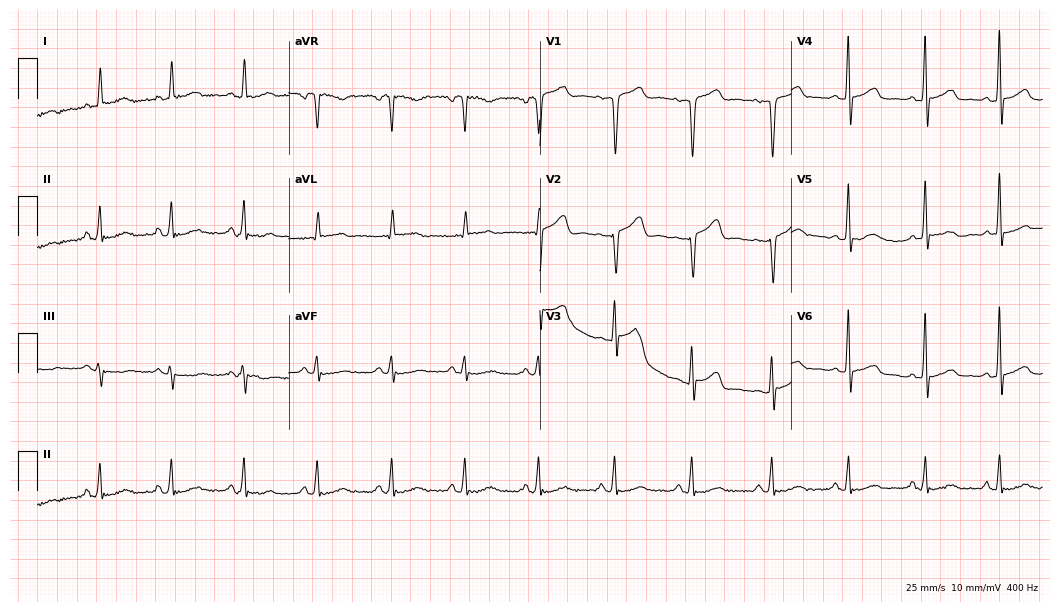
Resting 12-lead electrocardiogram. Patient: a woman, 59 years old. None of these six findings is recorded: first-degree AV block, right bundle branch block, left bundle branch block, sinus bradycardia, atrial fibrillation, sinus tachycardia.